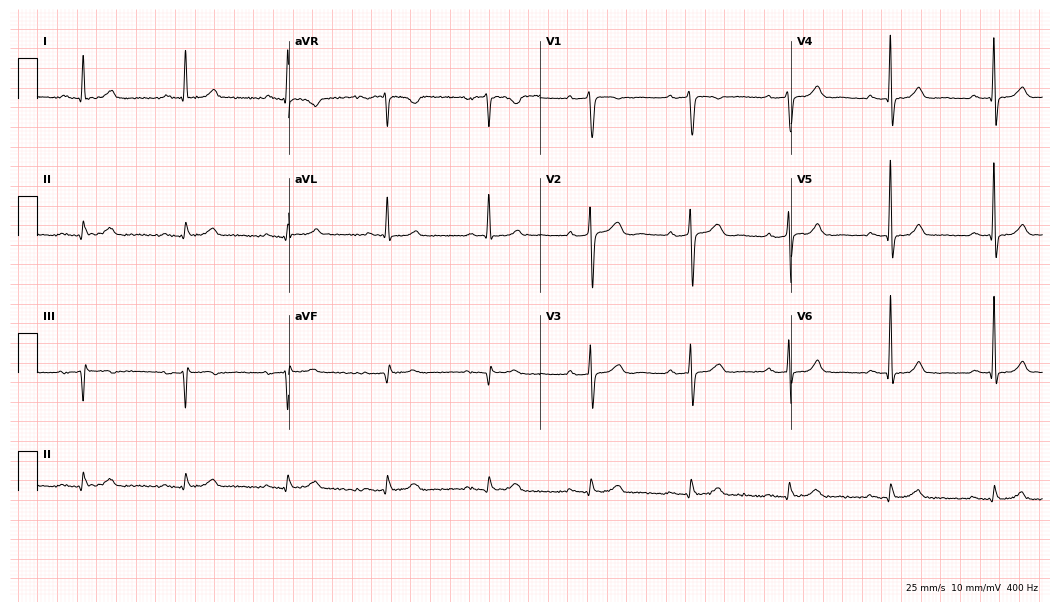
Standard 12-lead ECG recorded from a 78-year-old man (10.2-second recording at 400 Hz). Read as a normal ECG.